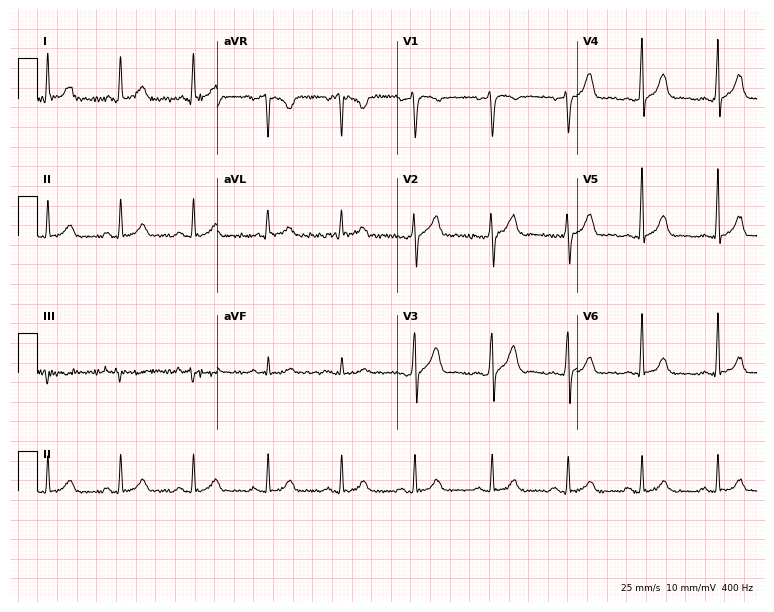
ECG — a 46-year-old male patient. Labelled as a normal ECG.